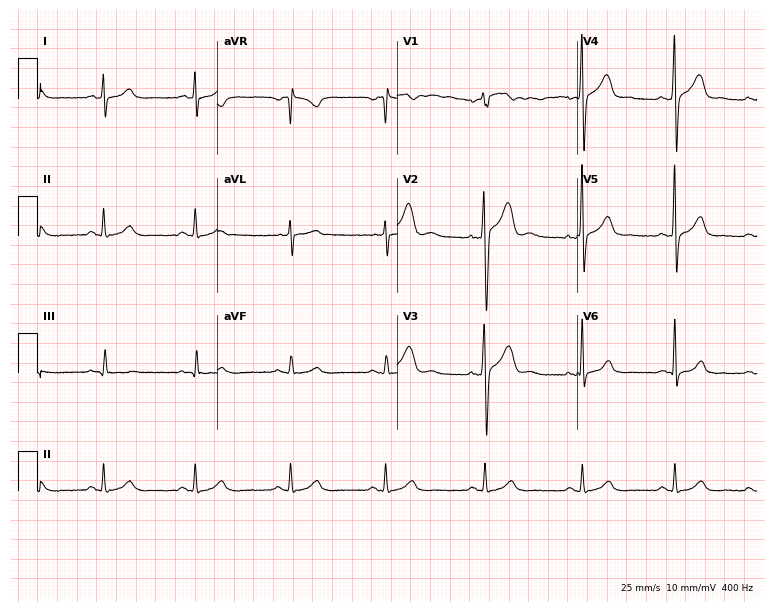
Resting 12-lead electrocardiogram (7.3-second recording at 400 Hz). Patient: a 34-year-old man. Read as a normal ECG.